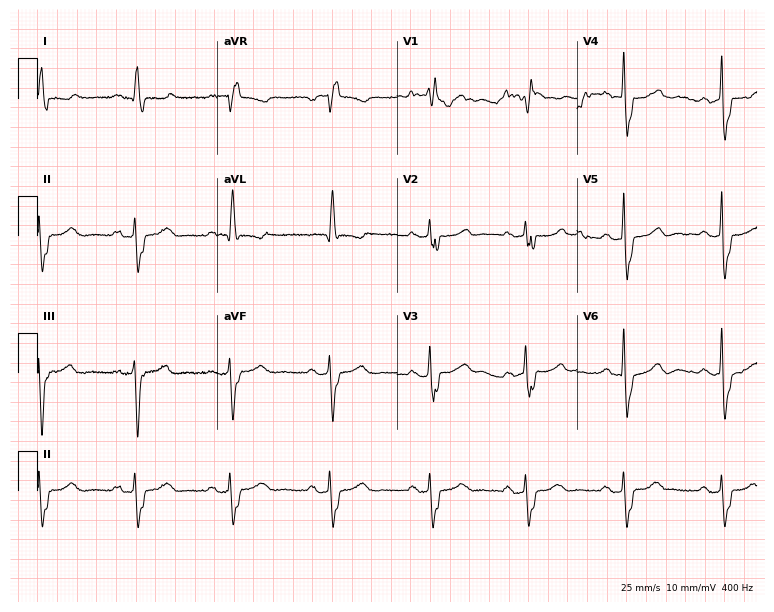
ECG (7.3-second recording at 400 Hz) — a 51-year-old female. Findings include right bundle branch block.